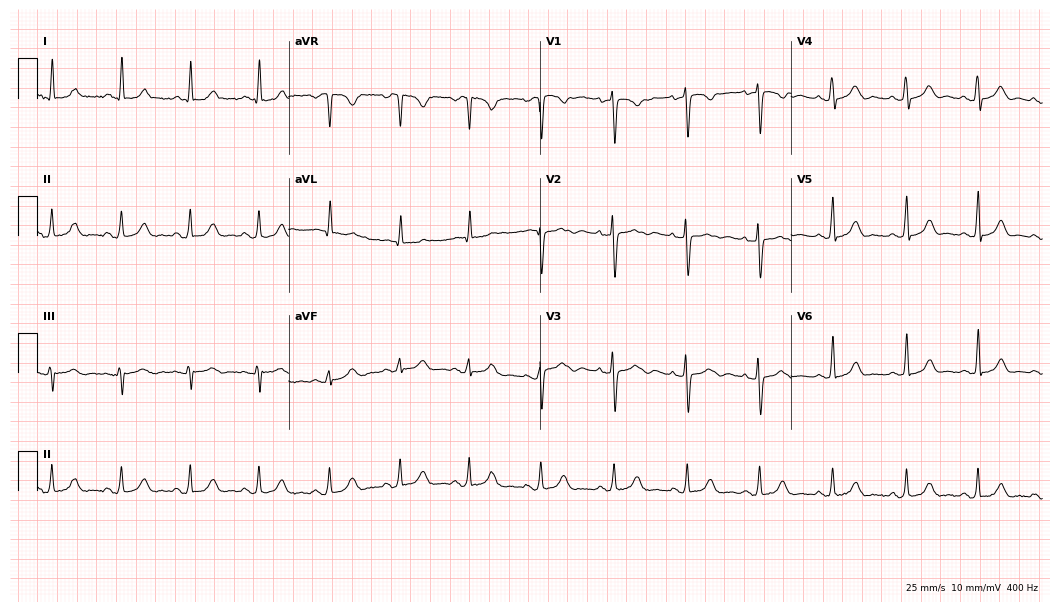
Electrocardiogram (10.2-second recording at 400 Hz), a female patient, 40 years old. Overall reading on record: normal ECG.